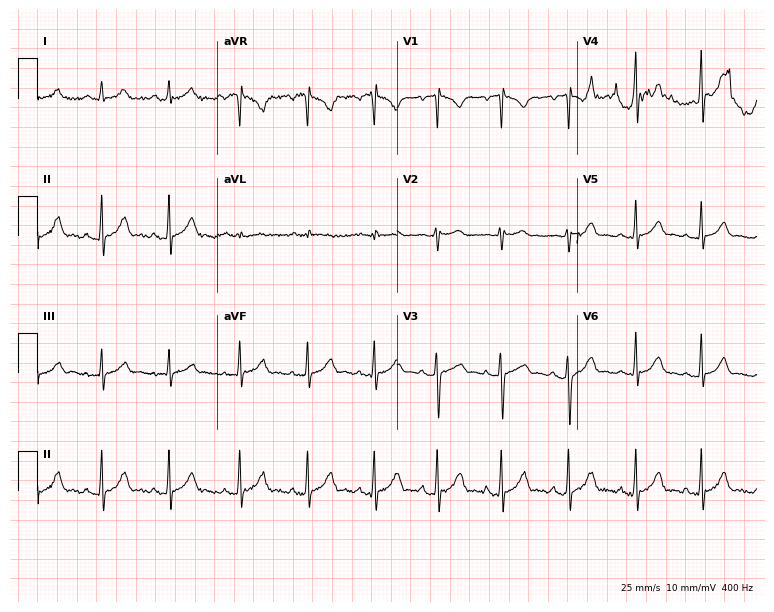
ECG (7.3-second recording at 400 Hz) — a 23-year-old woman. Labelled as a normal ECG.